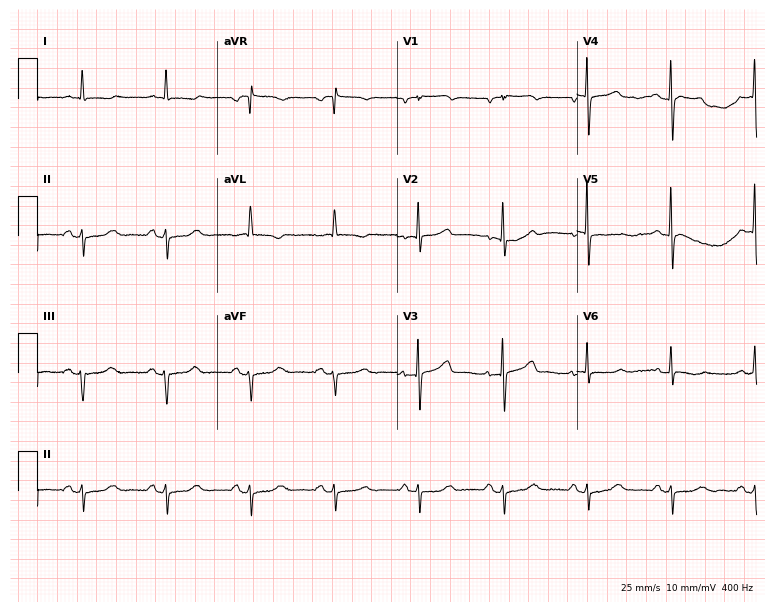
ECG (7.3-second recording at 400 Hz) — a 69-year-old female. Screened for six findings — first-degree AV block, right bundle branch block, left bundle branch block, sinus bradycardia, atrial fibrillation, sinus tachycardia — none is recorded. Other findings, if any, are not listed.